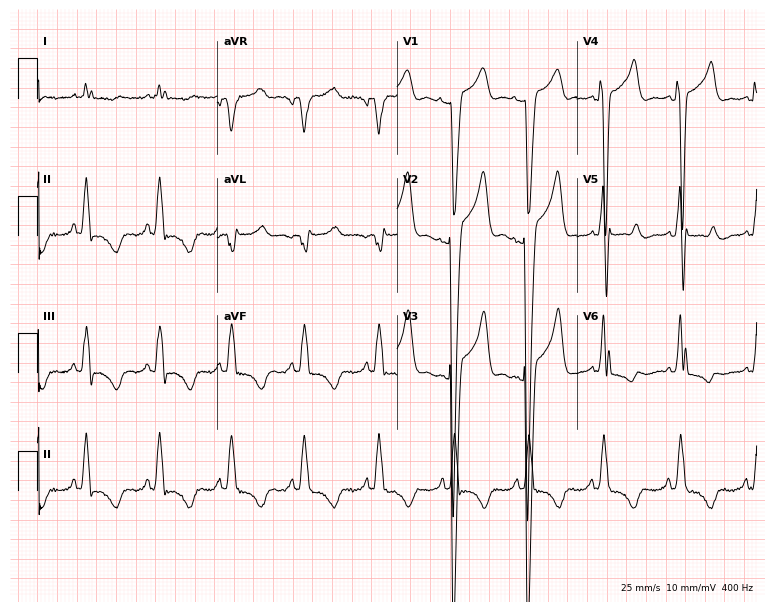
12-lead ECG (7.3-second recording at 400 Hz) from a 70-year-old female patient. Screened for six findings — first-degree AV block, right bundle branch block (RBBB), left bundle branch block (LBBB), sinus bradycardia, atrial fibrillation (AF), sinus tachycardia — none is recorded.